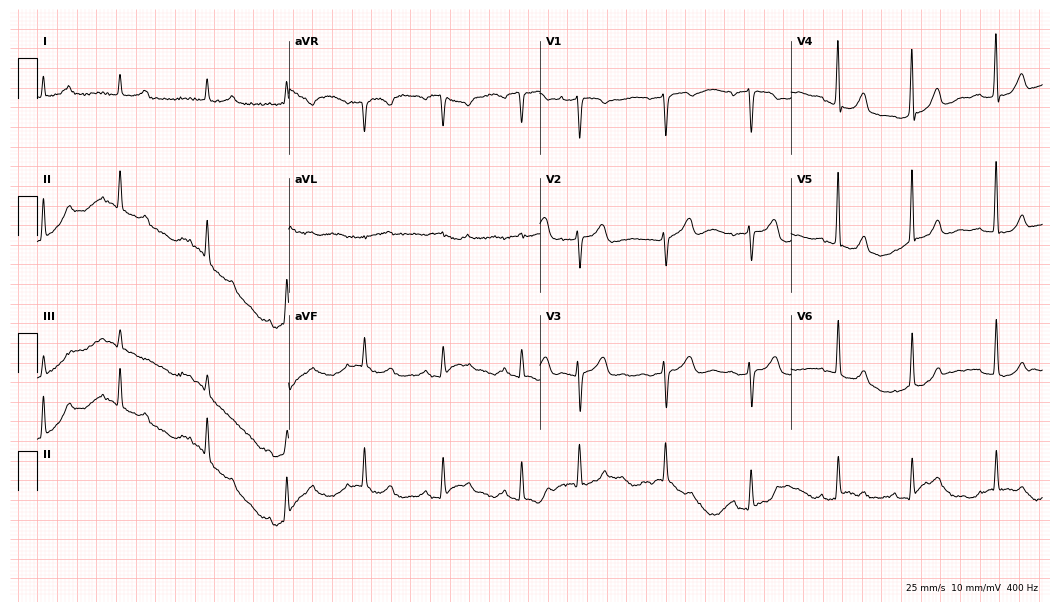
Resting 12-lead electrocardiogram. Patient: an 86-year-old woman. Read as a normal ECG.